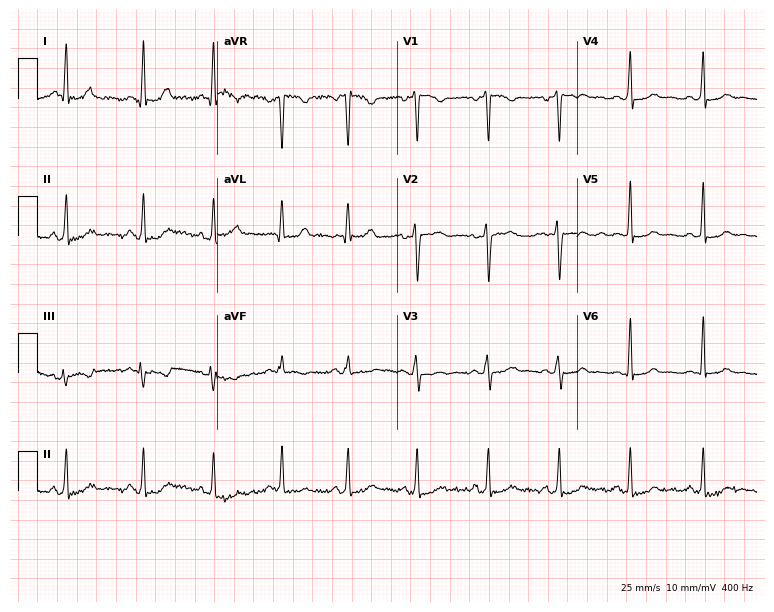
ECG — a 23-year-old woman. Screened for six findings — first-degree AV block, right bundle branch block, left bundle branch block, sinus bradycardia, atrial fibrillation, sinus tachycardia — none is recorded.